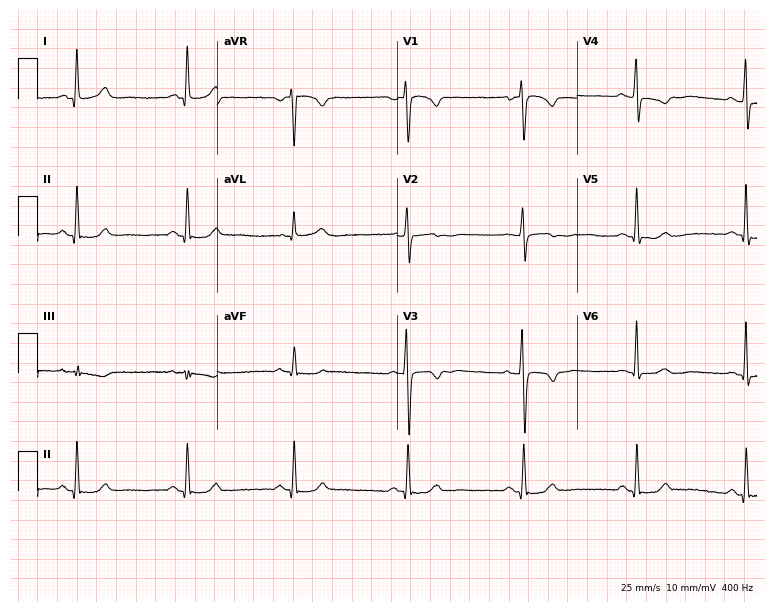
12-lead ECG from a 48-year-old female. Screened for six findings — first-degree AV block, right bundle branch block, left bundle branch block, sinus bradycardia, atrial fibrillation, sinus tachycardia — none is recorded. Only these six findings were labelled.